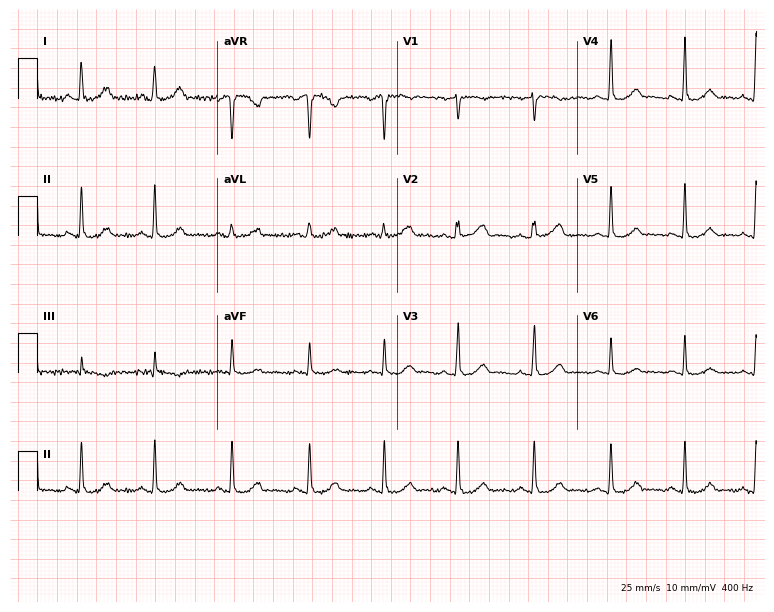
Resting 12-lead electrocardiogram (7.3-second recording at 400 Hz). Patient: a woman, 60 years old. Read as a normal ECG.